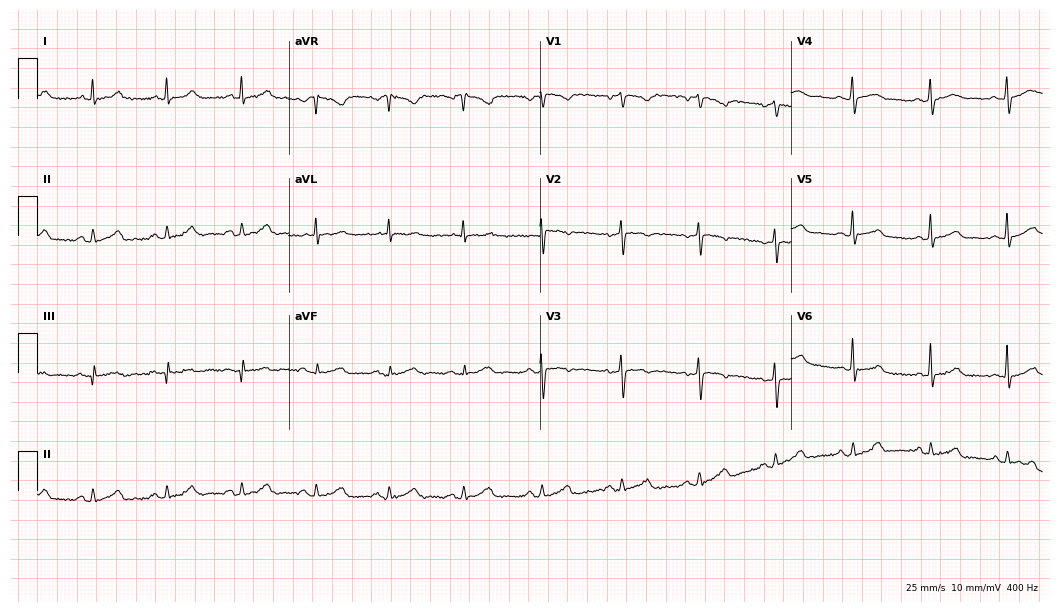
ECG (10.2-second recording at 400 Hz) — a female patient, 29 years old. Screened for six findings — first-degree AV block, right bundle branch block, left bundle branch block, sinus bradycardia, atrial fibrillation, sinus tachycardia — none is recorded.